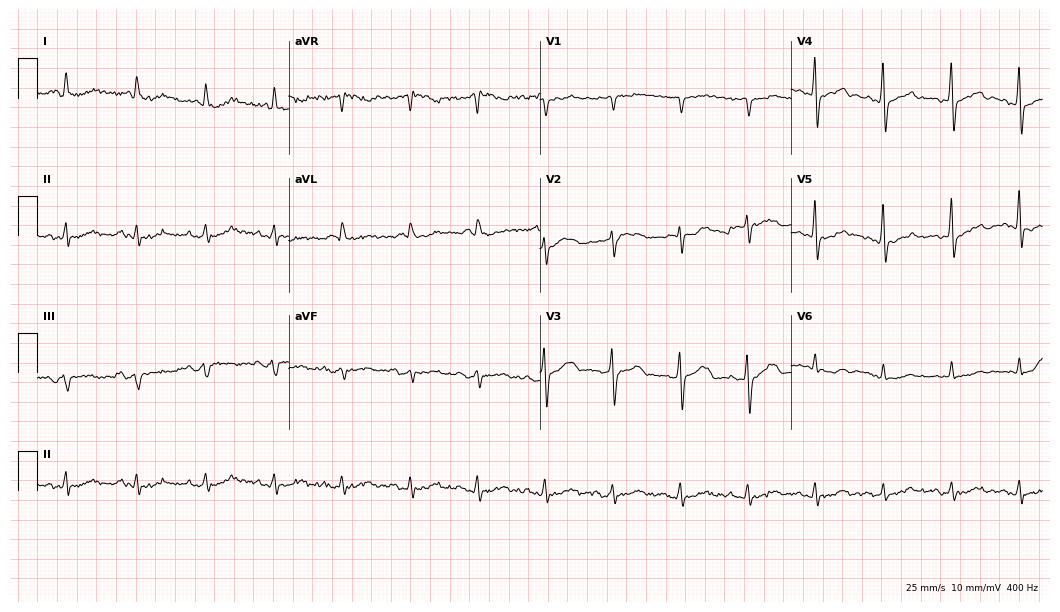
Electrocardiogram (10.2-second recording at 400 Hz), a male patient, 69 years old. Of the six screened findings (first-degree AV block, right bundle branch block, left bundle branch block, sinus bradycardia, atrial fibrillation, sinus tachycardia), none is recorded. Other findings, if any, are not listed.